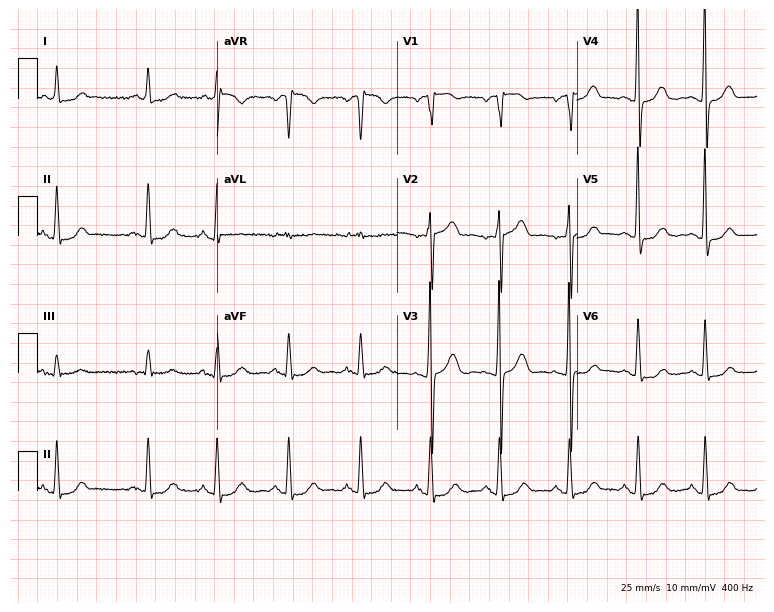
12-lead ECG (7.3-second recording at 400 Hz) from a 75-year-old woman. Screened for six findings — first-degree AV block, right bundle branch block, left bundle branch block, sinus bradycardia, atrial fibrillation, sinus tachycardia — none is recorded.